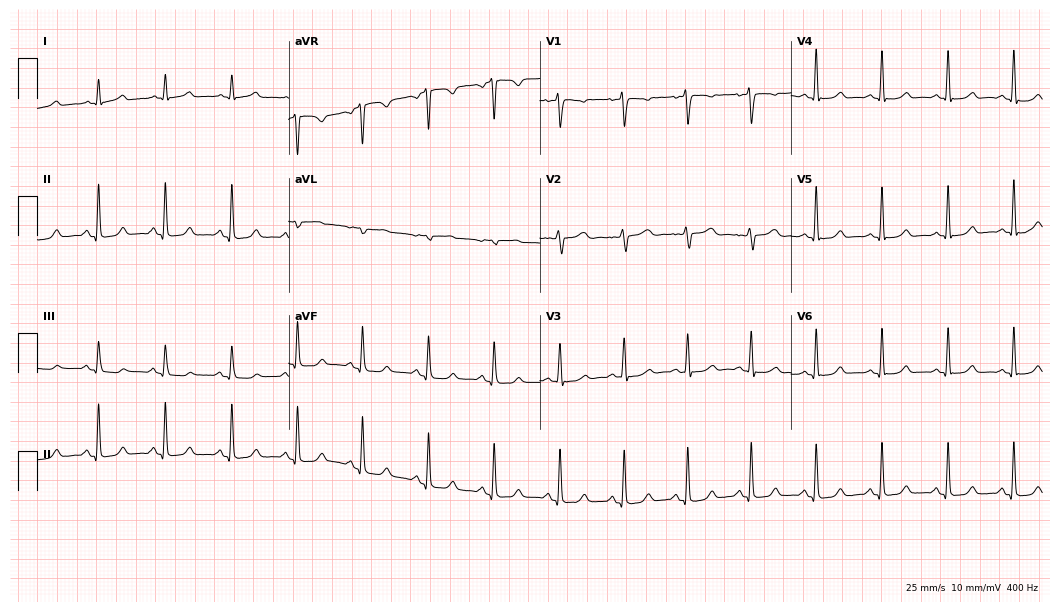
12-lead ECG from a 46-year-old female patient. Labelled as a normal ECG.